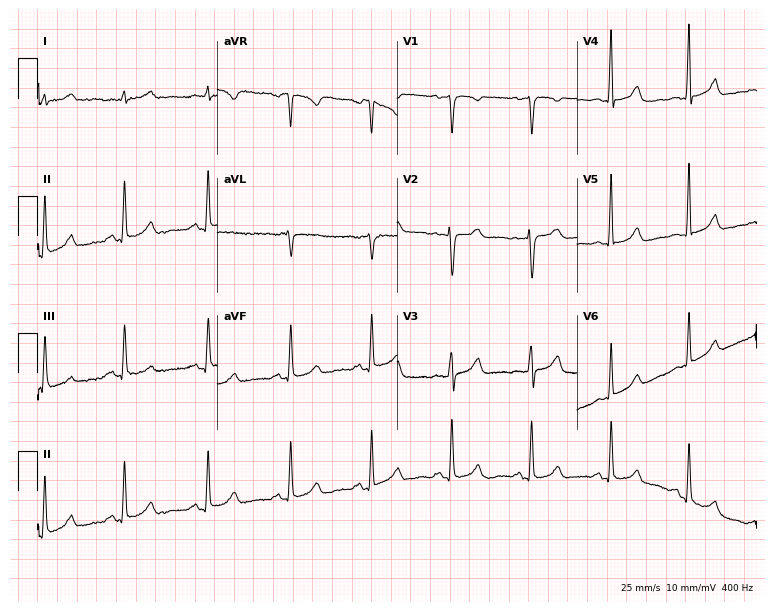
12-lead ECG from a female, 44 years old. Labelled as a normal ECG.